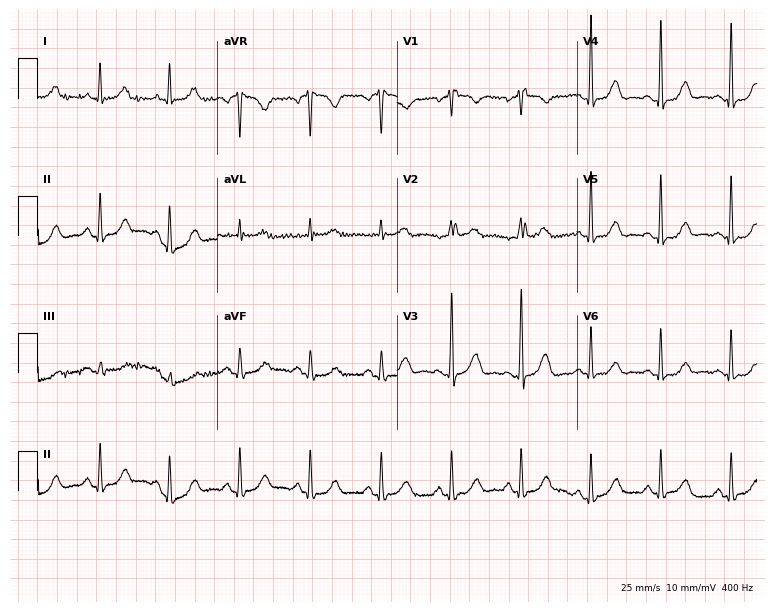
12-lead ECG (7.3-second recording at 400 Hz) from a woman, 71 years old. Screened for six findings — first-degree AV block, right bundle branch block, left bundle branch block, sinus bradycardia, atrial fibrillation, sinus tachycardia — none is recorded.